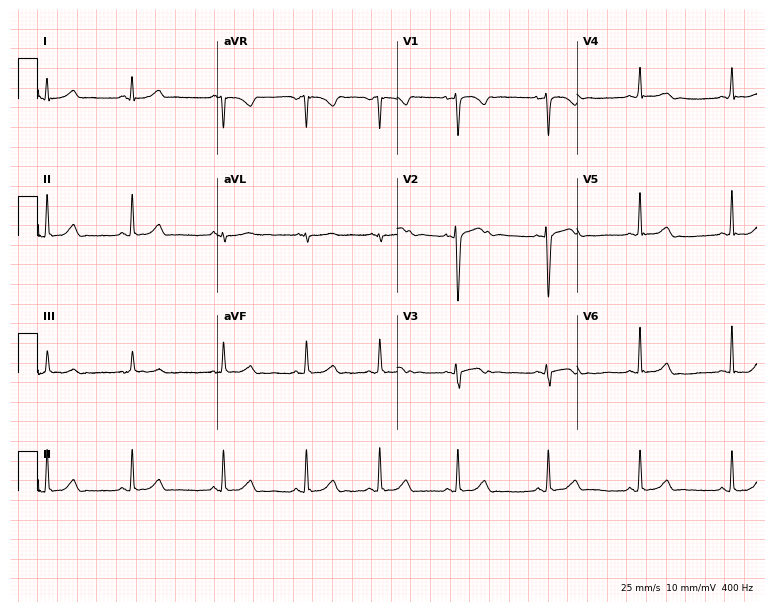
Electrocardiogram (7.3-second recording at 400 Hz), a female, 22 years old. Overall reading on record: normal ECG.